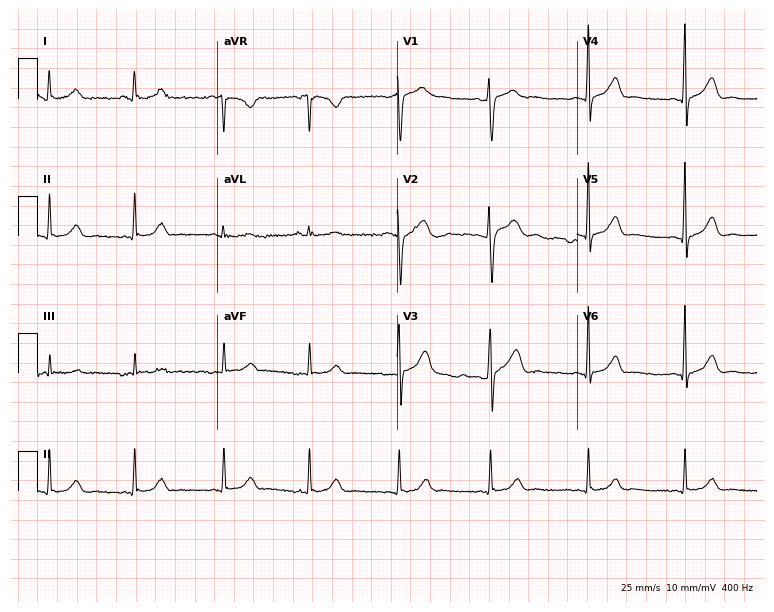
12-lead ECG from a female patient, 30 years old (7.3-second recording at 400 Hz). Recorded interpretation: within normal limits.